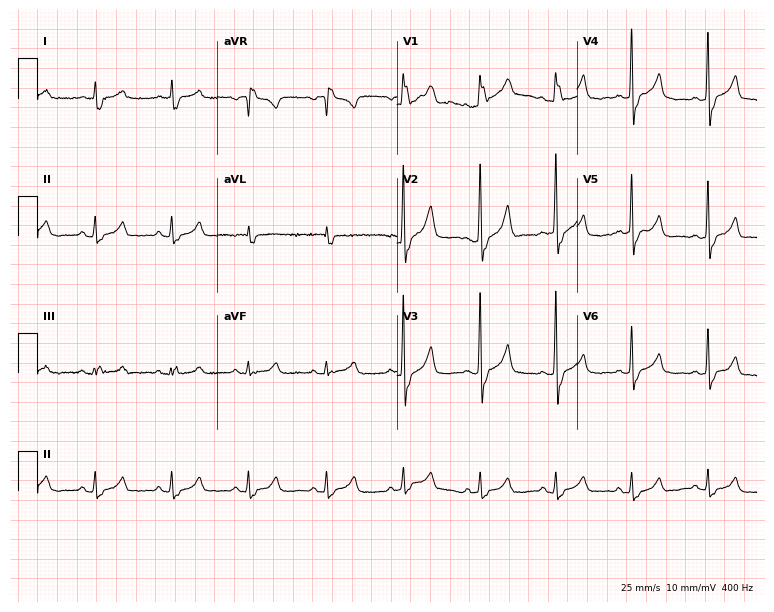
12-lead ECG from a female, 70 years old. Screened for six findings — first-degree AV block, right bundle branch block, left bundle branch block, sinus bradycardia, atrial fibrillation, sinus tachycardia — none is recorded. Findings outside these six are not listed.